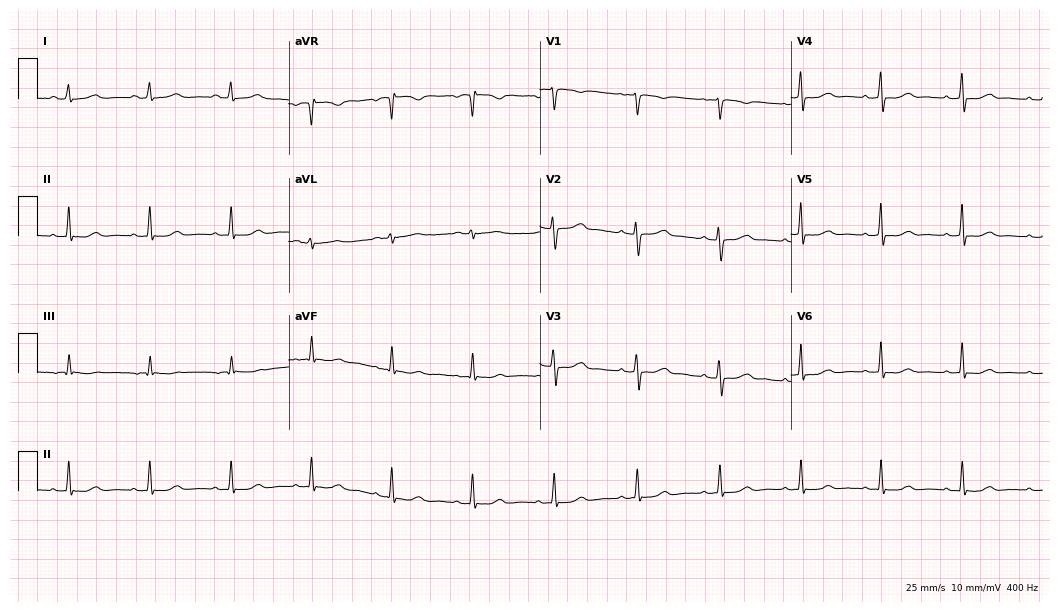
12-lead ECG (10.2-second recording at 400 Hz) from a woman, 48 years old. Labelled as a normal ECG.